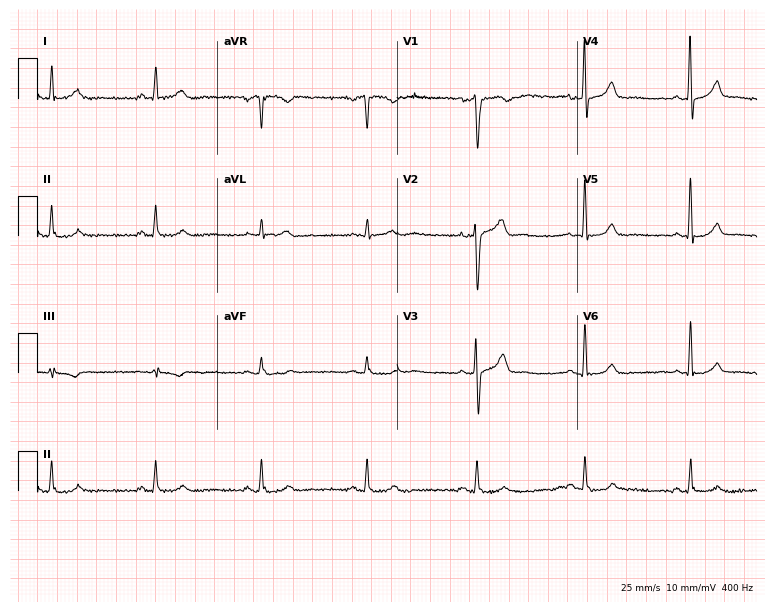
Electrocardiogram, a male, 48 years old. Overall reading on record: normal ECG.